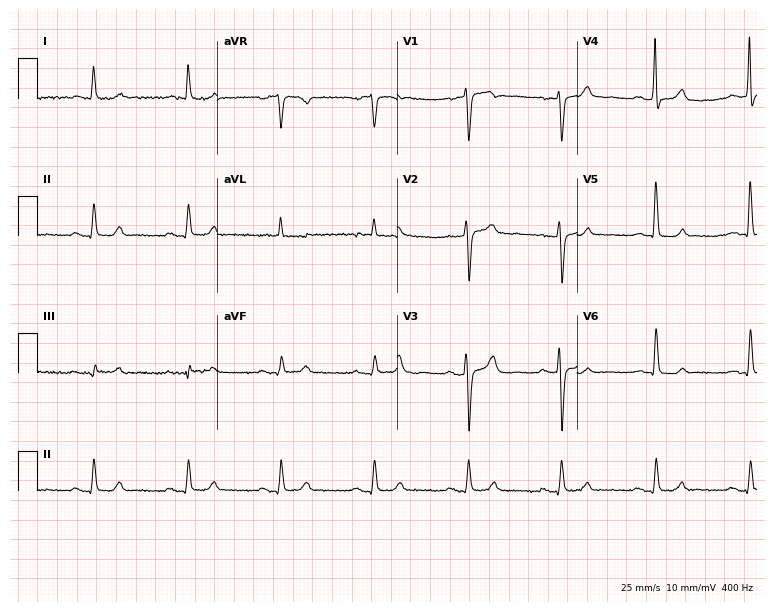
Resting 12-lead electrocardiogram (7.3-second recording at 400 Hz). Patient: a 66-year-old man. None of these six findings is recorded: first-degree AV block, right bundle branch block, left bundle branch block, sinus bradycardia, atrial fibrillation, sinus tachycardia. Findings outside these six are not listed.